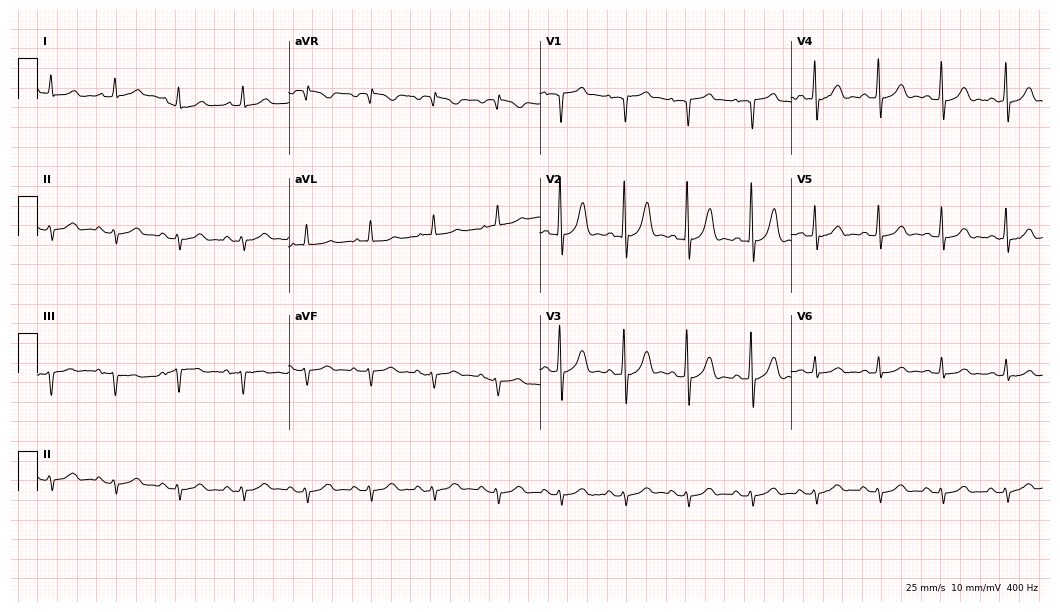
Standard 12-lead ECG recorded from a man, 64 years old. None of these six findings is recorded: first-degree AV block, right bundle branch block, left bundle branch block, sinus bradycardia, atrial fibrillation, sinus tachycardia.